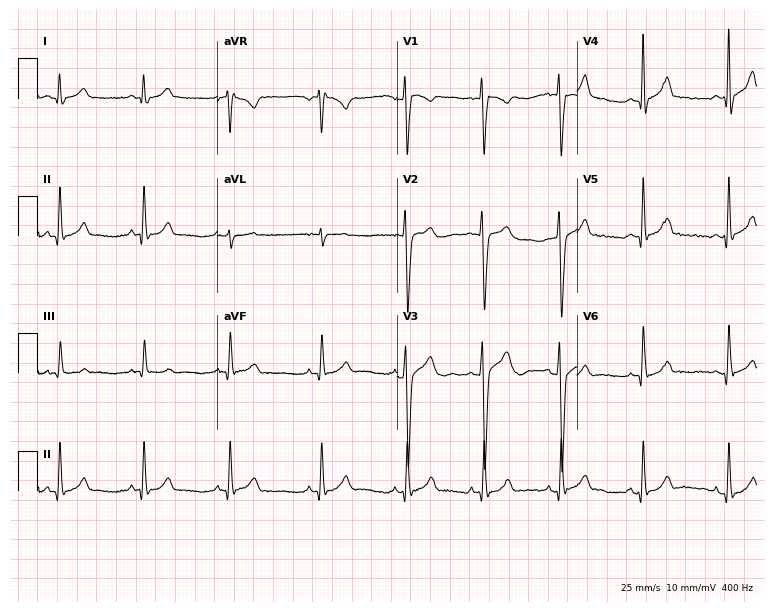
Resting 12-lead electrocardiogram. Patient: a 19-year-old male. Read as a normal ECG.